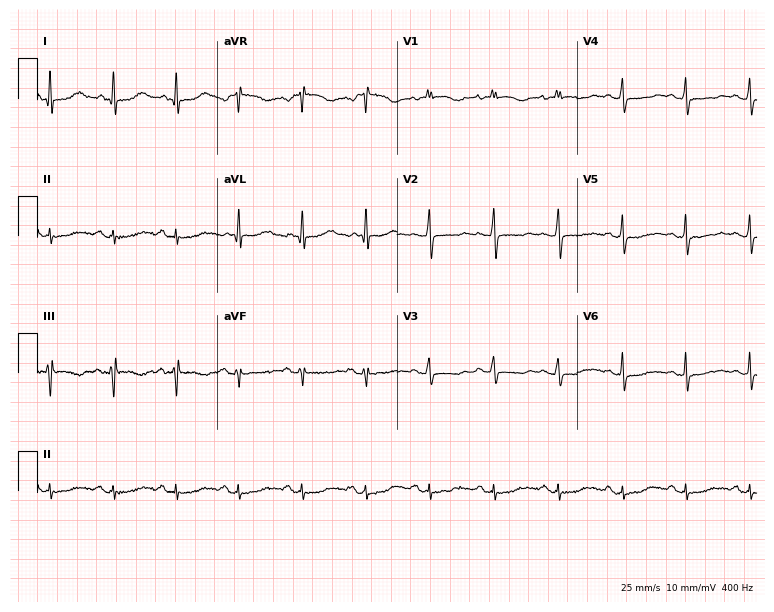
Standard 12-lead ECG recorded from a woman, 58 years old (7.3-second recording at 400 Hz). None of these six findings is recorded: first-degree AV block, right bundle branch block (RBBB), left bundle branch block (LBBB), sinus bradycardia, atrial fibrillation (AF), sinus tachycardia.